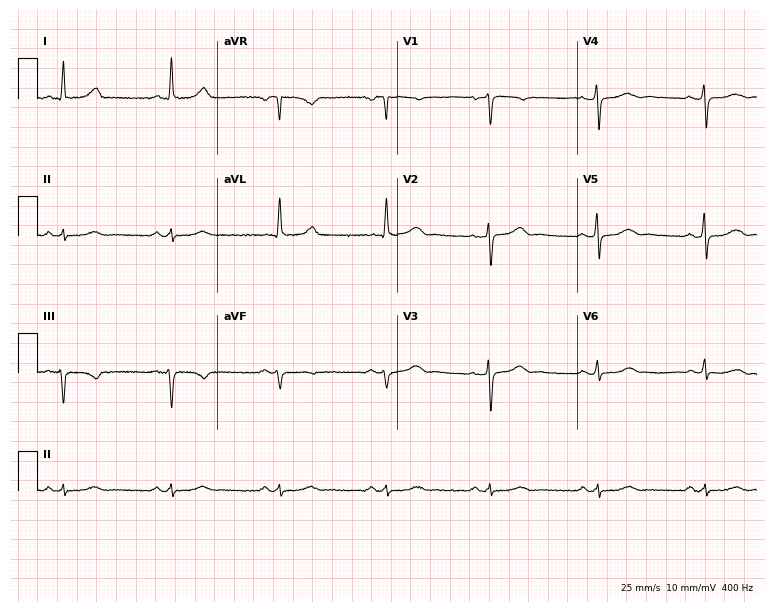
12-lead ECG from a female, 56 years old (7.3-second recording at 400 Hz). Recorded interpretation: within normal limits.